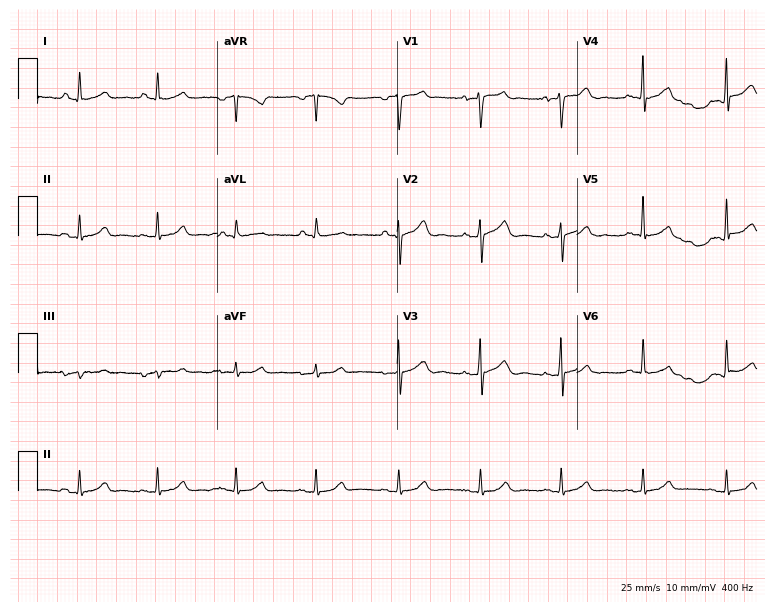
Resting 12-lead electrocardiogram. Patient: a male, 49 years old. Read as a normal ECG.